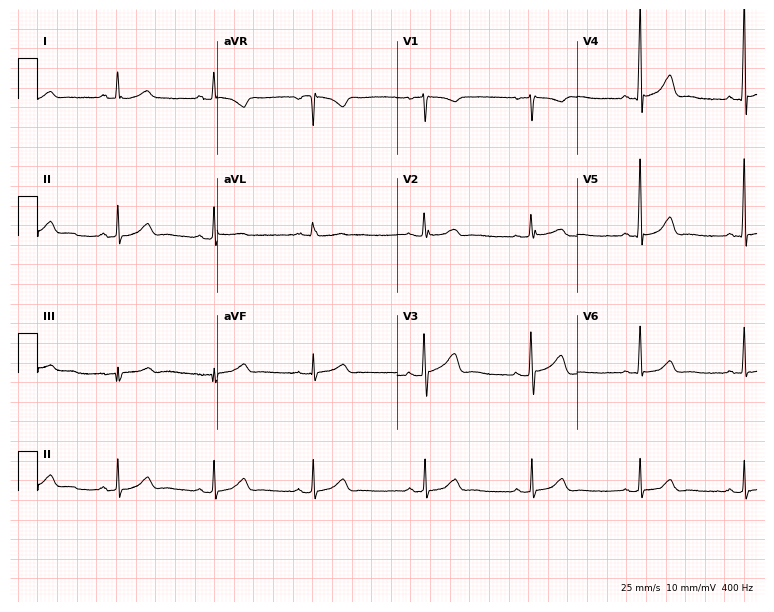
12-lead ECG (7.3-second recording at 400 Hz) from a female patient, 42 years old. Labelled as a normal ECG.